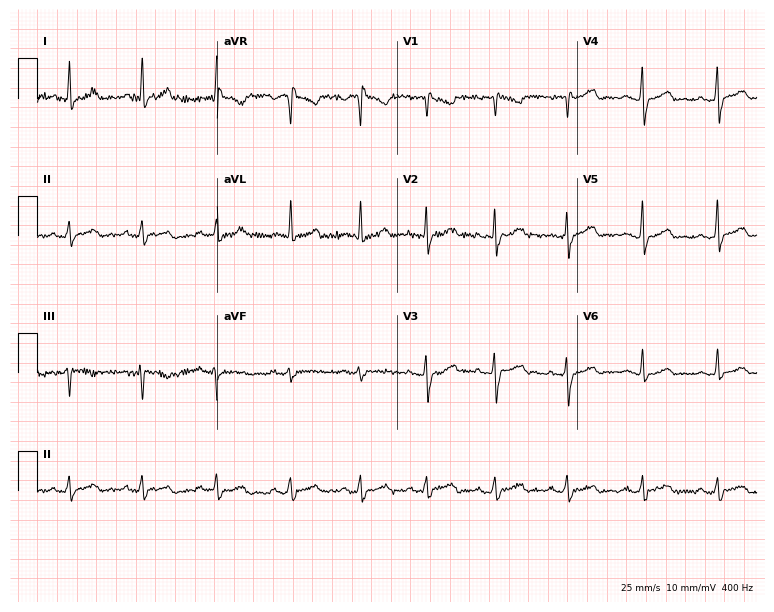
12-lead ECG from a 36-year-old woman. Screened for six findings — first-degree AV block, right bundle branch block (RBBB), left bundle branch block (LBBB), sinus bradycardia, atrial fibrillation (AF), sinus tachycardia — none is recorded. Other findings, if any, are not listed.